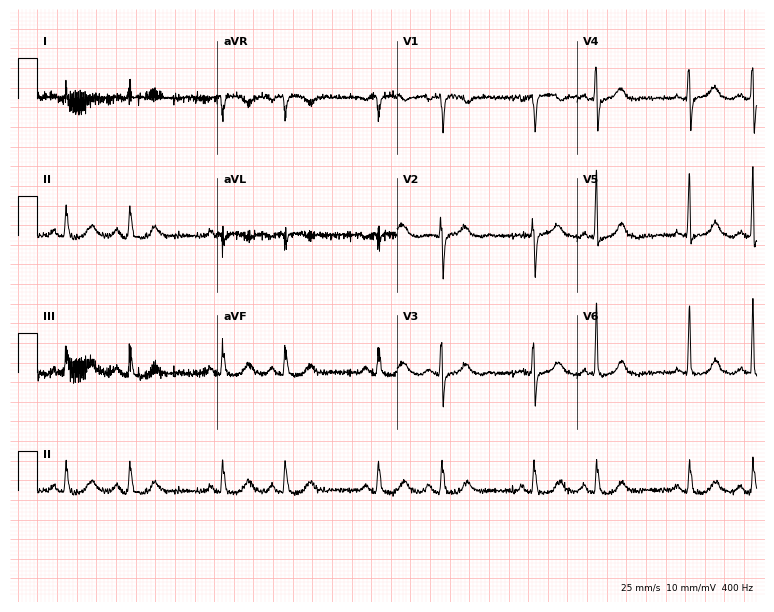
12-lead ECG from a female patient, 72 years old (7.3-second recording at 400 Hz). No first-degree AV block, right bundle branch block, left bundle branch block, sinus bradycardia, atrial fibrillation or sinus tachycardia recorded for this tracing.